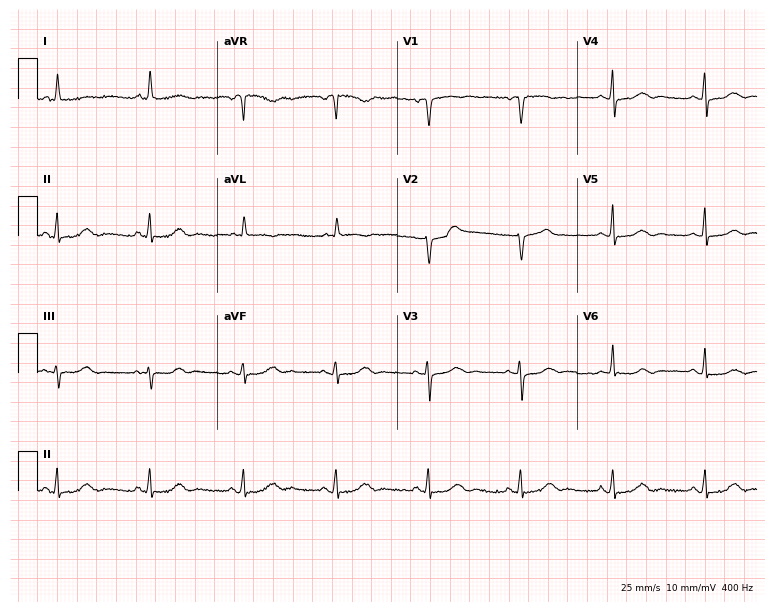
Standard 12-lead ECG recorded from a 73-year-old woman (7.3-second recording at 400 Hz). None of these six findings is recorded: first-degree AV block, right bundle branch block, left bundle branch block, sinus bradycardia, atrial fibrillation, sinus tachycardia.